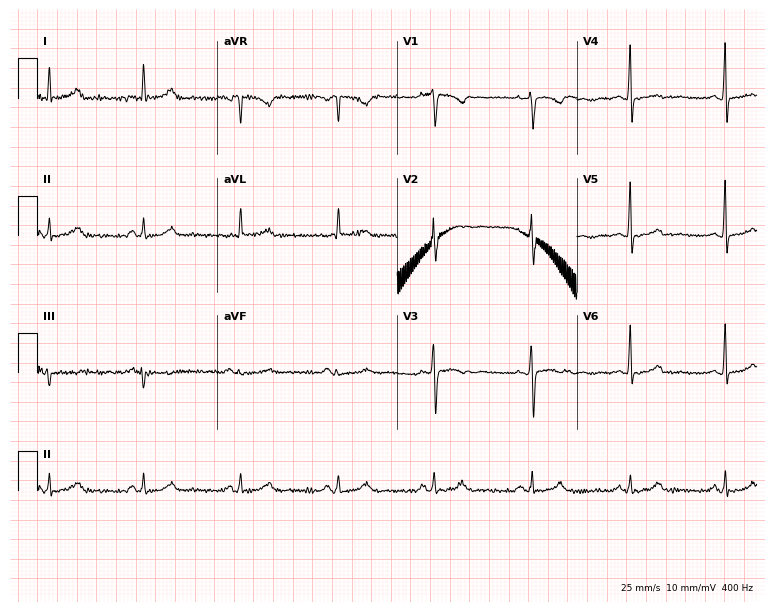
12-lead ECG from a female, 42 years old. Labelled as a normal ECG.